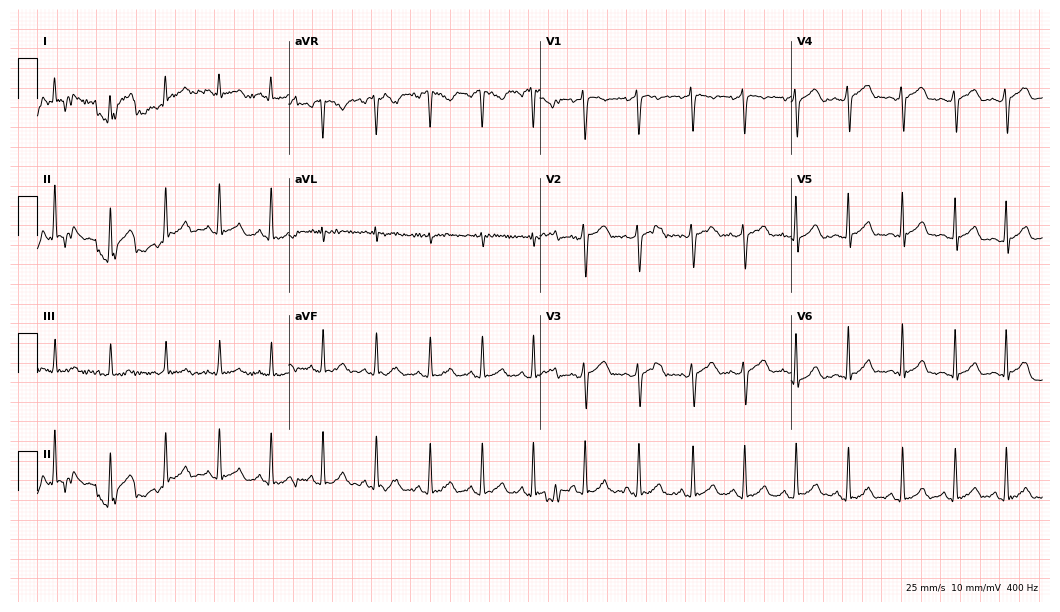
12-lead ECG from a woman, 23 years old (10.2-second recording at 400 Hz). Shows sinus tachycardia (a sinus rate of 100 beats per minute or more).